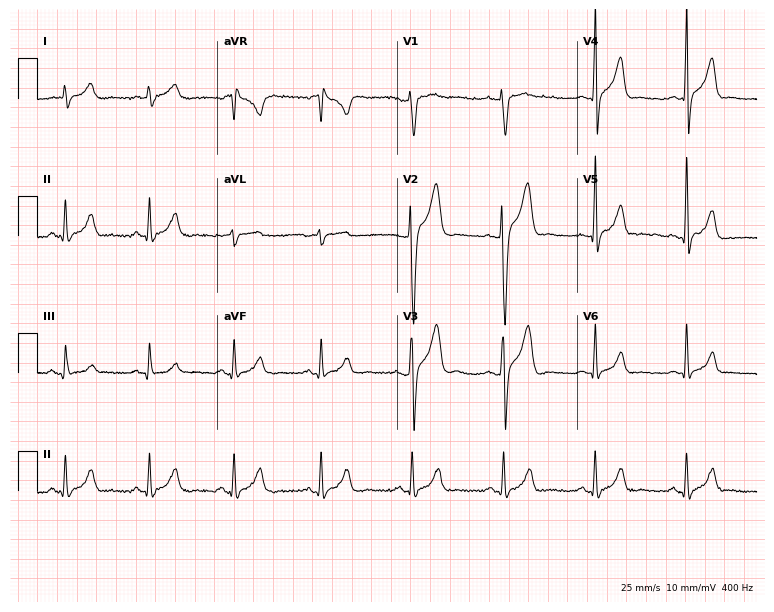
12-lead ECG from a 23-year-old male patient (7.3-second recording at 400 Hz). Recorded interpretation: within normal limits.